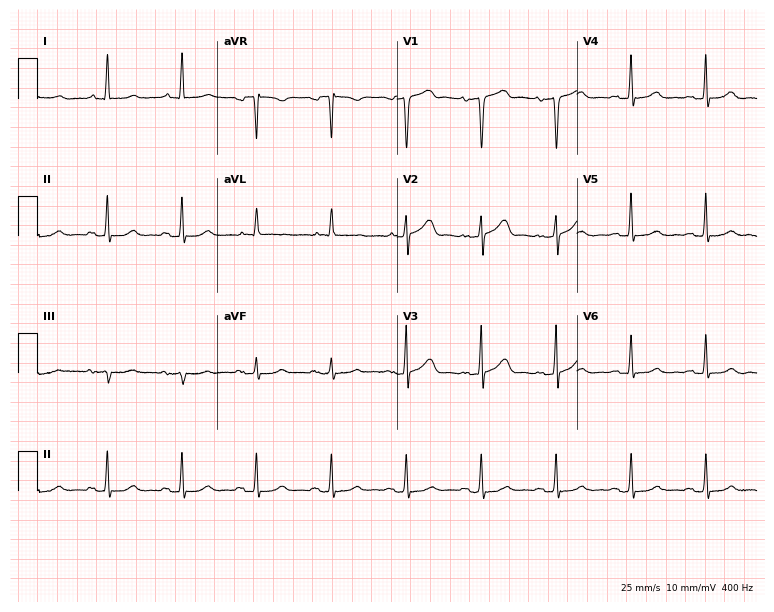
12-lead ECG from a female, 79 years old (7.3-second recording at 400 Hz). No first-degree AV block, right bundle branch block (RBBB), left bundle branch block (LBBB), sinus bradycardia, atrial fibrillation (AF) or sinus tachycardia recorded for this tracing.